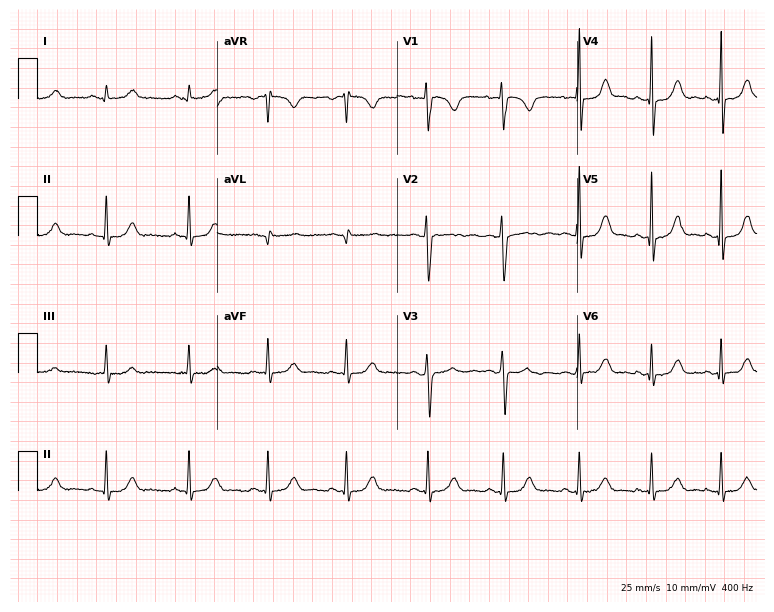
Resting 12-lead electrocardiogram. Patient: an 18-year-old female. Read as a normal ECG.